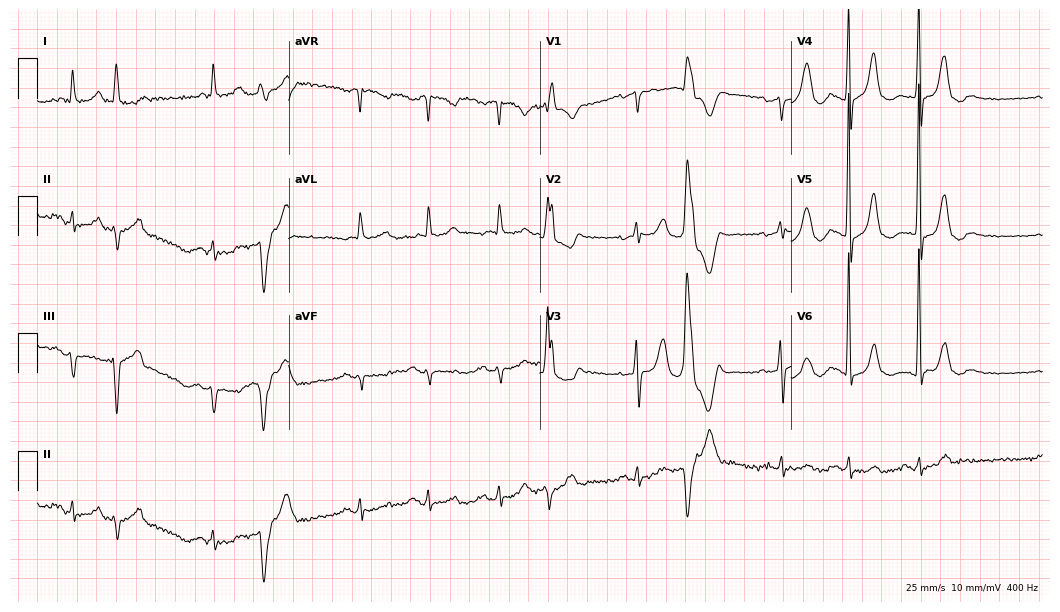
12-lead ECG from a male, 81 years old. Screened for six findings — first-degree AV block, right bundle branch block, left bundle branch block, sinus bradycardia, atrial fibrillation, sinus tachycardia — none is recorded. Other findings, if any, are not listed.